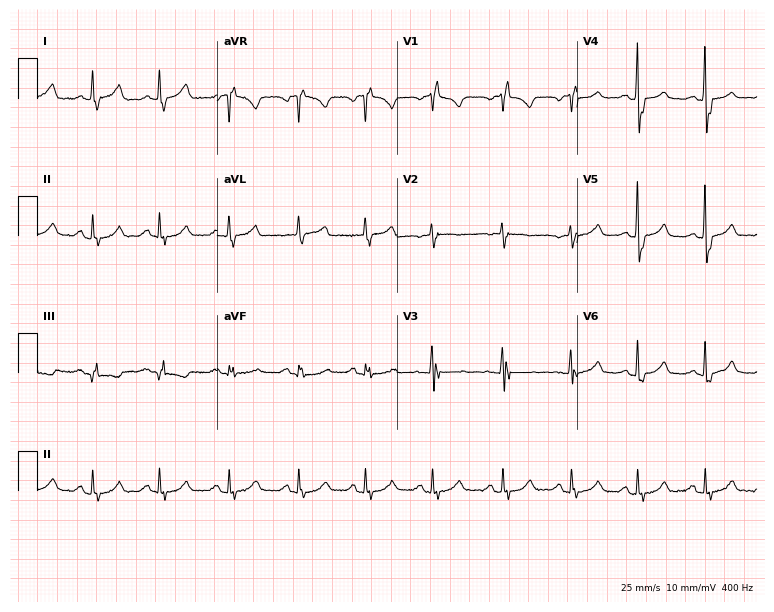
Electrocardiogram, a female, 76 years old. Of the six screened findings (first-degree AV block, right bundle branch block (RBBB), left bundle branch block (LBBB), sinus bradycardia, atrial fibrillation (AF), sinus tachycardia), none is recorded.